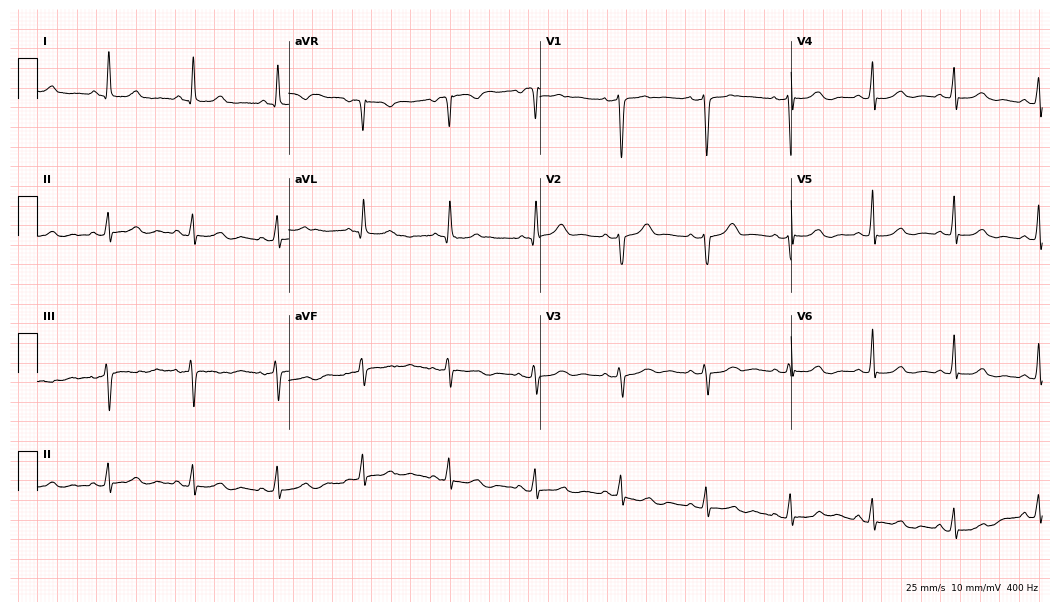
Electrocardiogram (10.2-second recording at 400 Hz), a 56-year-old female patient. Overall reading on record: normal ECG.